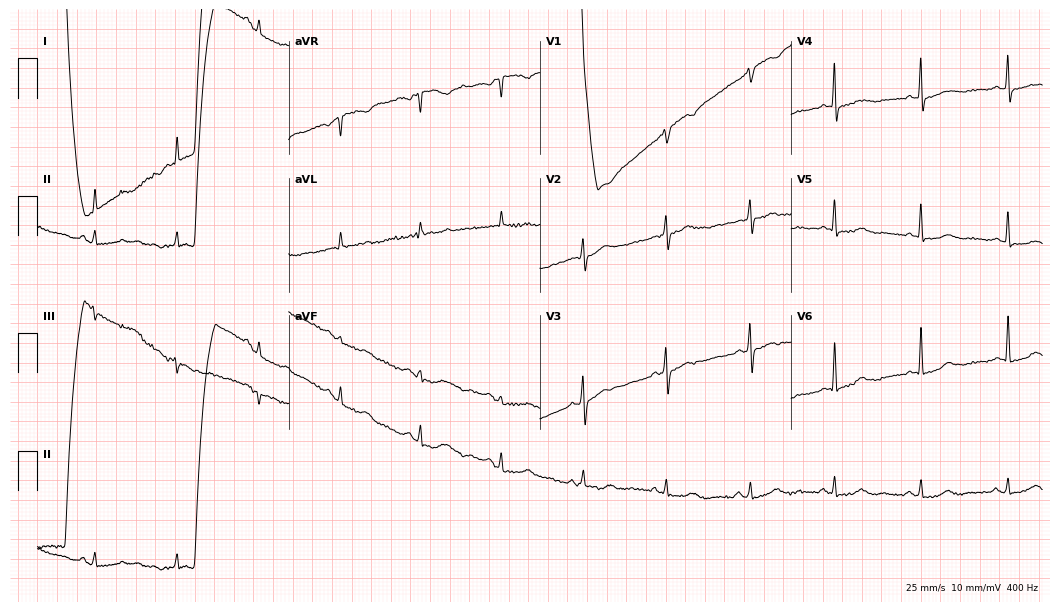
ECG — a woman, 72 years old. Labelled as a normal ECG.